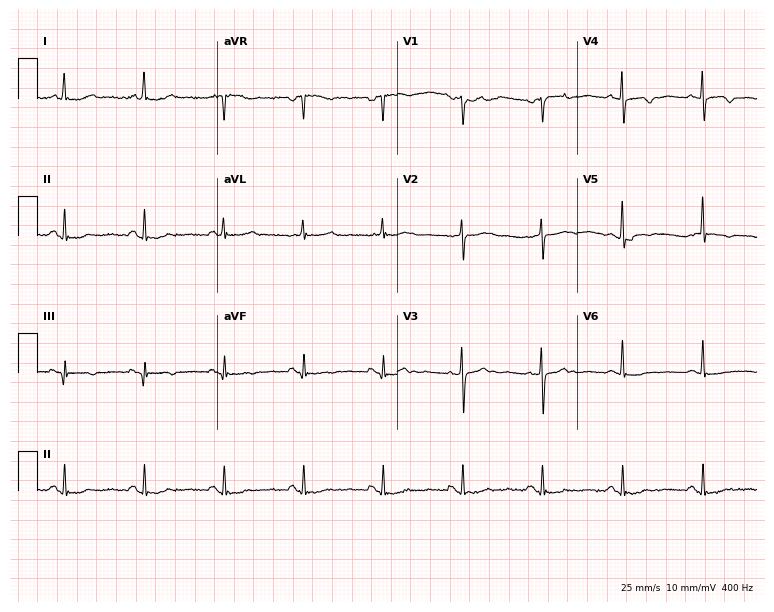
ECG — a 77-year-old woman. Screened for six findings — first-degree AV block, right bundle branch block (RBBB), left bundle branch block (LBBB), sinus bradycardia, atrial fibrillation (AF), sinus tachycardia — none is recorded.